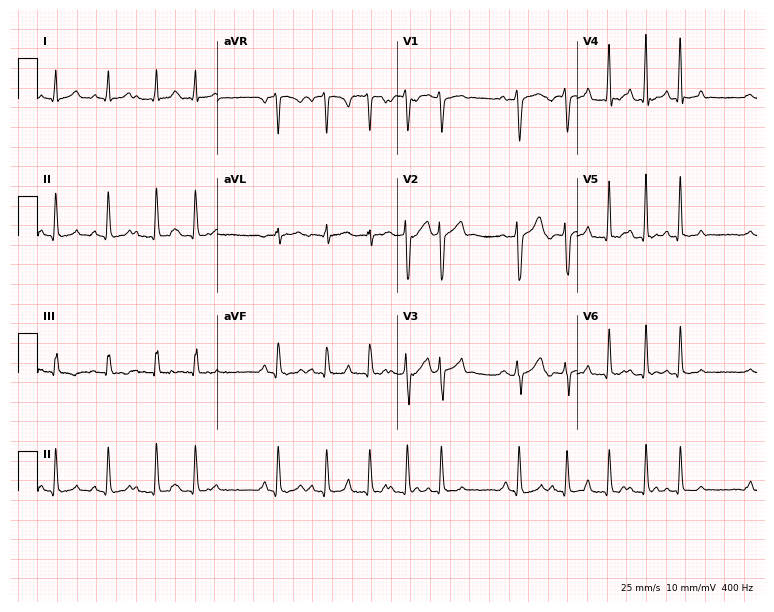
Electrocardiogram (7.3-second recording at 400 Hz), a man, 29 years old. Interpretation includes sinus tachycardia (a sinus rate of 100 beats per minute or more).